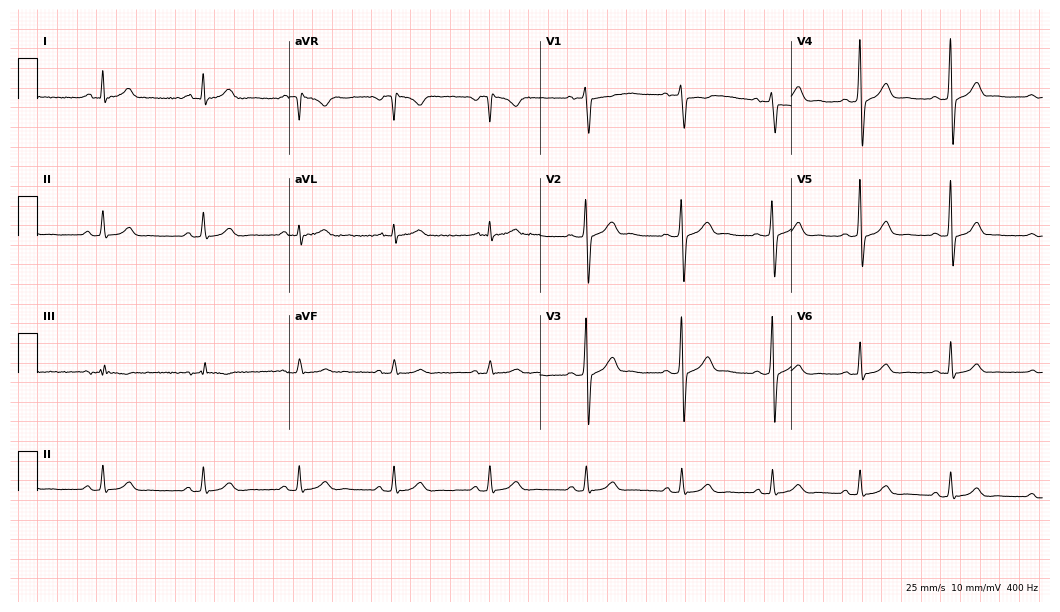
ECG — a male patient, 26 years old. Labelled as a normal ECG.